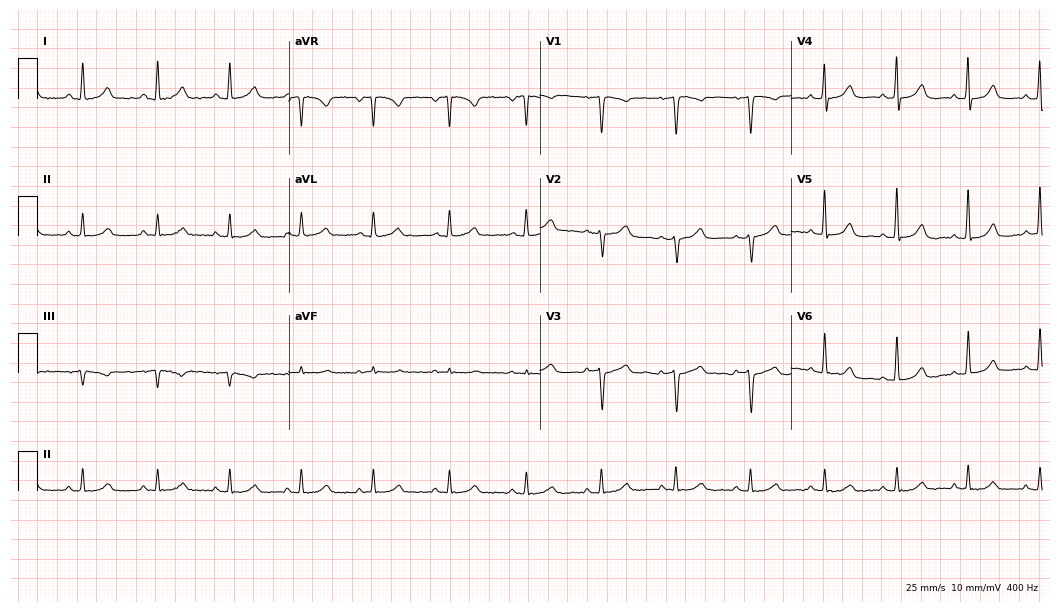
12-lead ECG from a female, 52 years old (10.2-second recording at 400 Hz). Recorded interpretation: within normal limits.